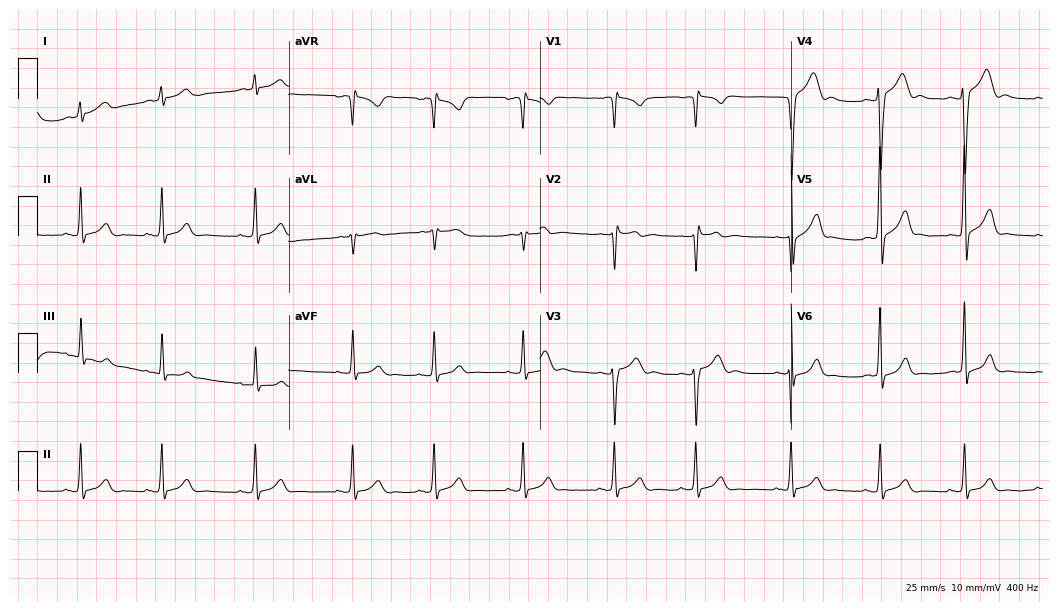
ECG — a 19-year-old male. Labelled as a normal ECG.